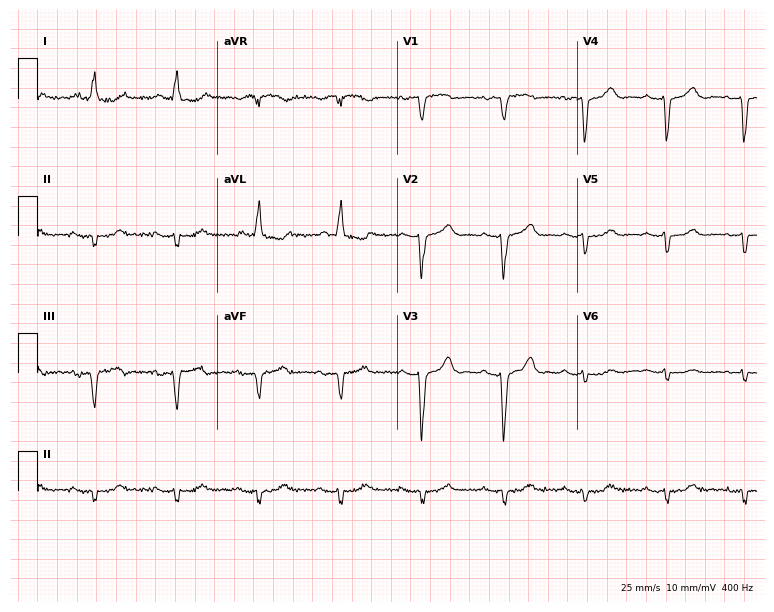
ECG — a female, 82 years old. Screened for six findings — first-degree AV block, right bundle branch block, left bundle branch block, sinus bradycardia, atrial fibrillation, sinus tachycardia — none is recorded.